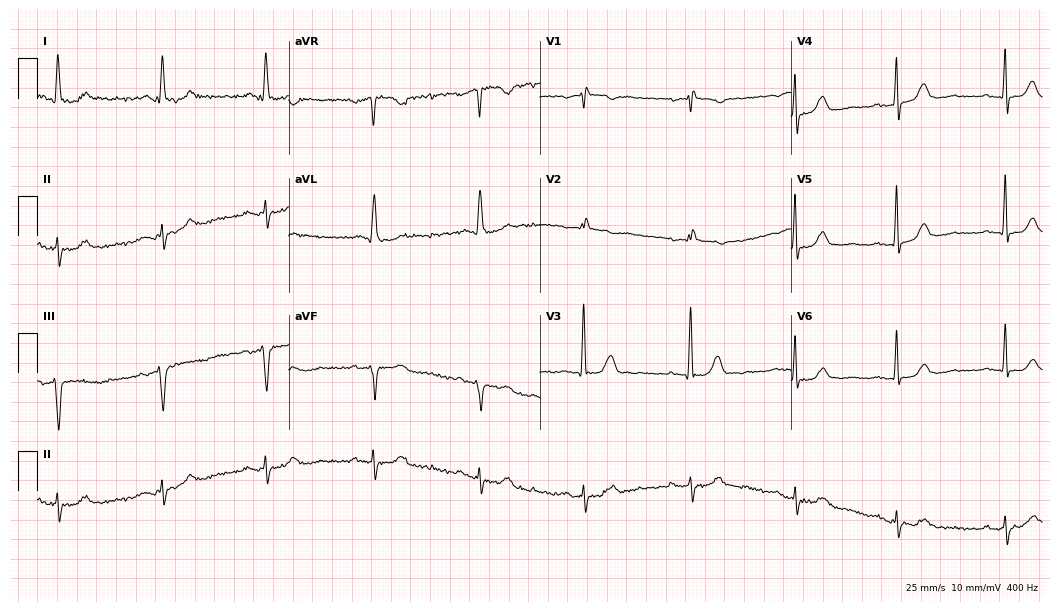
Electrocardiogram, a female, 81 years old. Of the six screened findings (first-degree AV block, right bundle branch block, left bundle branch block, sinus bradycardia, atrial fibrillation, sinus tachycardia), none is recorded. Findings outside these six are not listed.